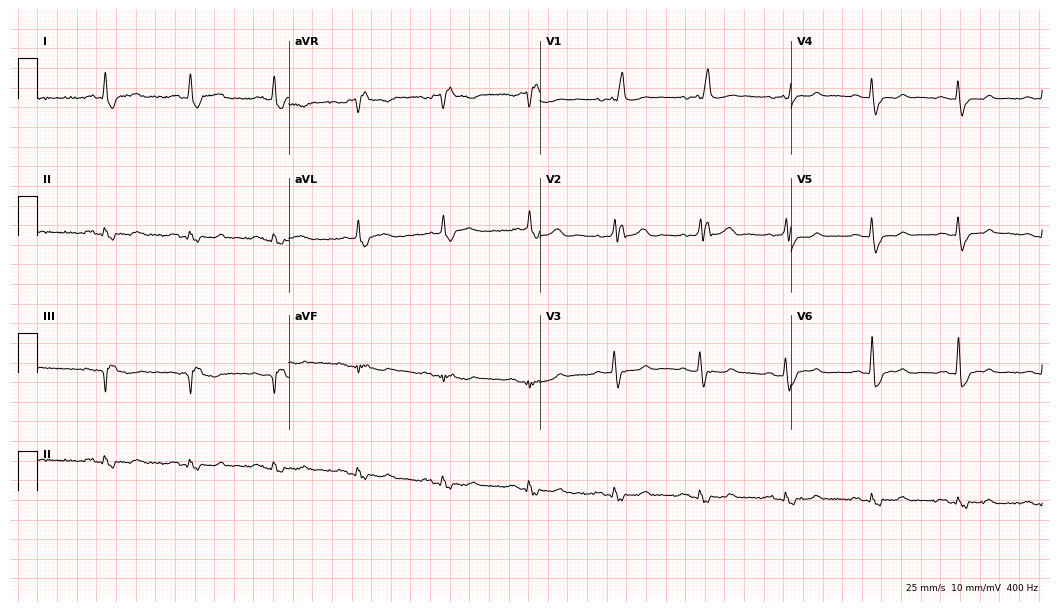
12-lead ECG from a male, 61 years old (10.2-second recording at 400 Hz). Shows right bundle branch block (RBBB).